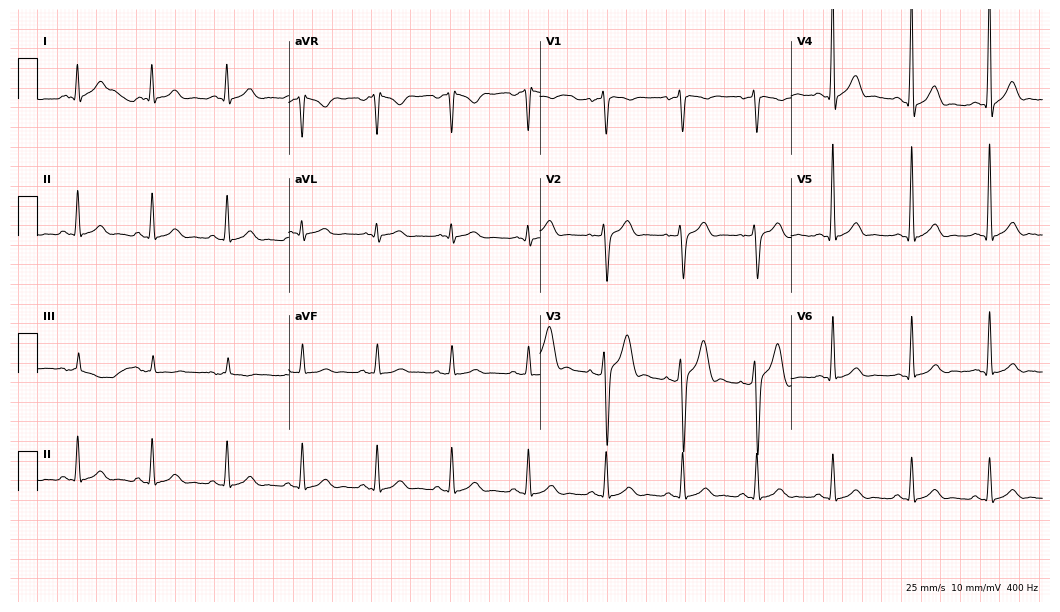
12-lead ECG (10.2-second recording at 400 Hz) from a 39-year-old man. Labelled as a normal ECG.